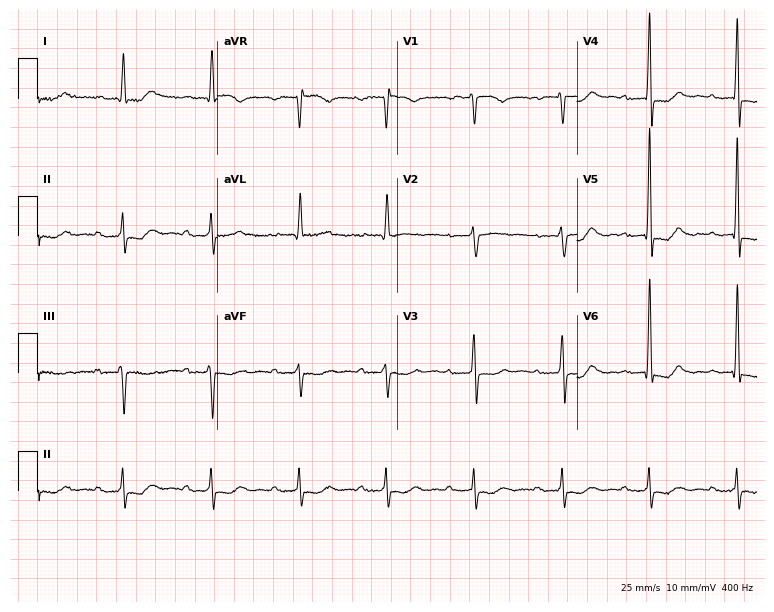
Resting 12-lead electrocardiogram. Patient: a 66-year-old male. None of these six findings is recorded: first-degree AV block, right bundle branch block, left bundle branch block, sinus bradycardia, atrial fibrillation, sinus tachycardia.